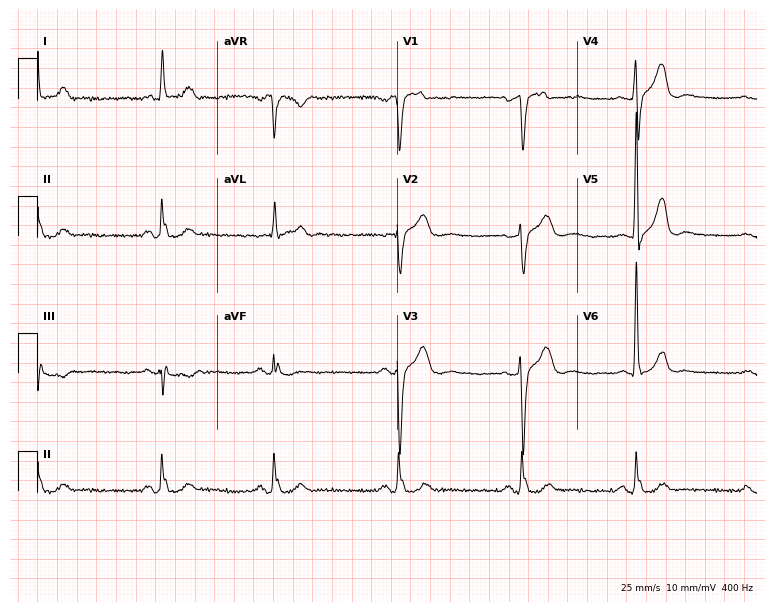
12-lead ECG (7.3-second recording at 400 Hz) from a male, 73 years old. Findings include sinus bradycardia (a sinus rate of 50 beats per minute or less).